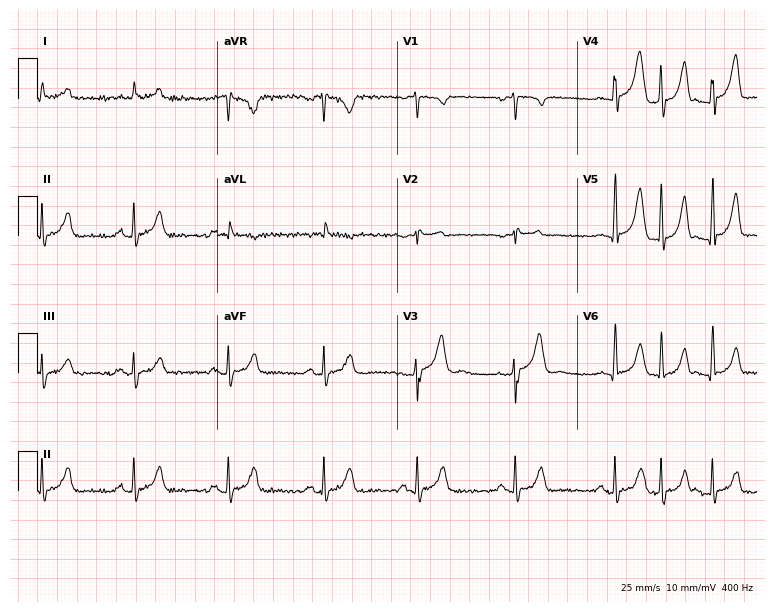
Electrocardiogram (7.3-second recording at 400 Hz), a 60-year-old man. Of the six screened findings (first-degree AV block, right bundle branch block, left bundle branch block, sinus bradycardia, atrial fibrillation, sinus tachycardia), none is recorded.